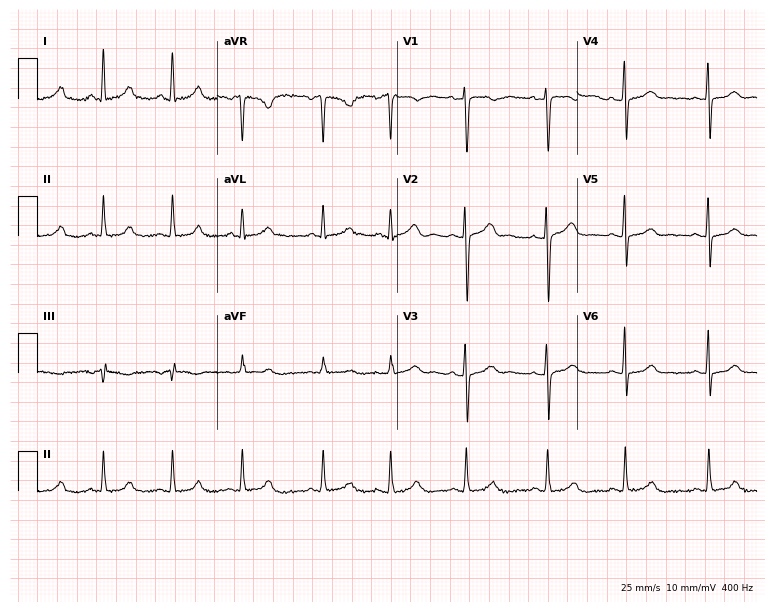
Electrocardiogram (7.3-second recording at 400 Hz), a woman, 32 years old. Of the six screened findings (first-degree AV block, right bundle branch block, left bundle branch block, sinus bradycardia, atrial fibrillation, sinus tachycardia), none is recorded. Other findings, if any, are not listed.